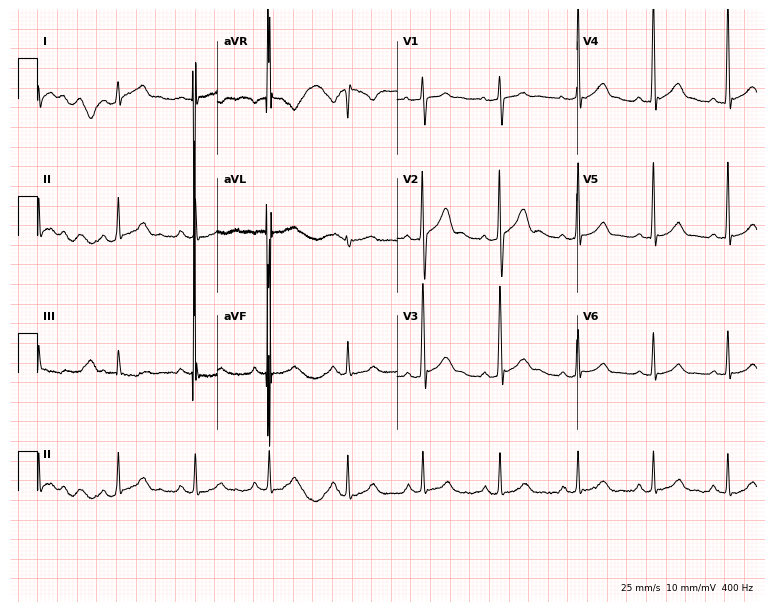
12-lead ECG from a 32-year-old man (7.3-second recording at 400 Hz). No first-degree AV block, right bundle branch block (RBBB), left bundle branch block (LBBB), sinus bradycardia, atrial fibrillation (AF) or sinus tachycardia recorded for this tracing. Other findings, if any, are not listed.